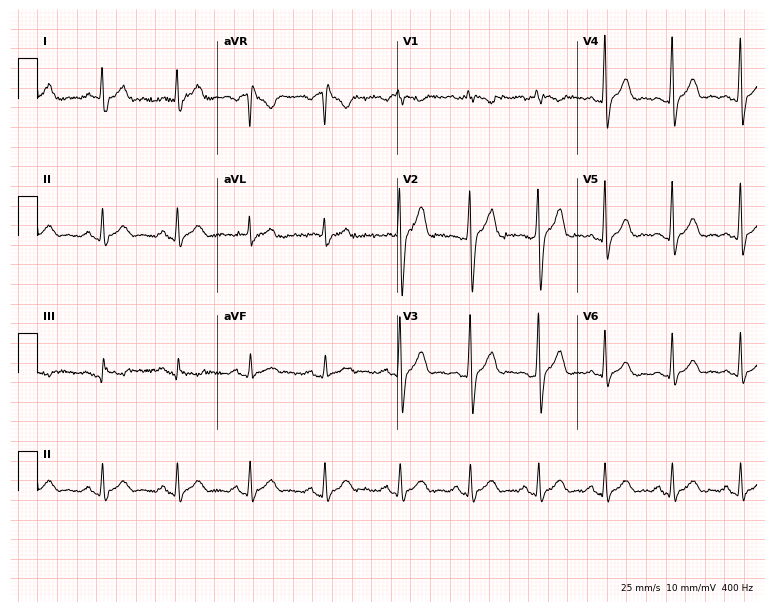
12-lead ECG from a man, 42 years old (7.3-second recording at 400 Hz). No first-degree AV block, right bundle branch block (RBBB), left bundle branch block (LBBB), sinus bradycardia, atrial fibrillation (AF) or sinus tachycardia recorded for this tracing. Only these six findings were labelled.